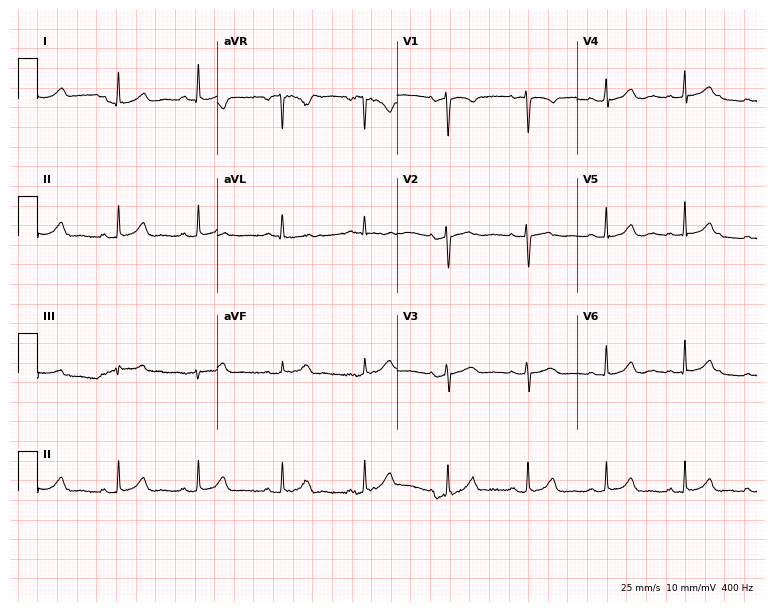
12-lead ECG from a female patient, 36 years old. Labelled as a normal ECG.